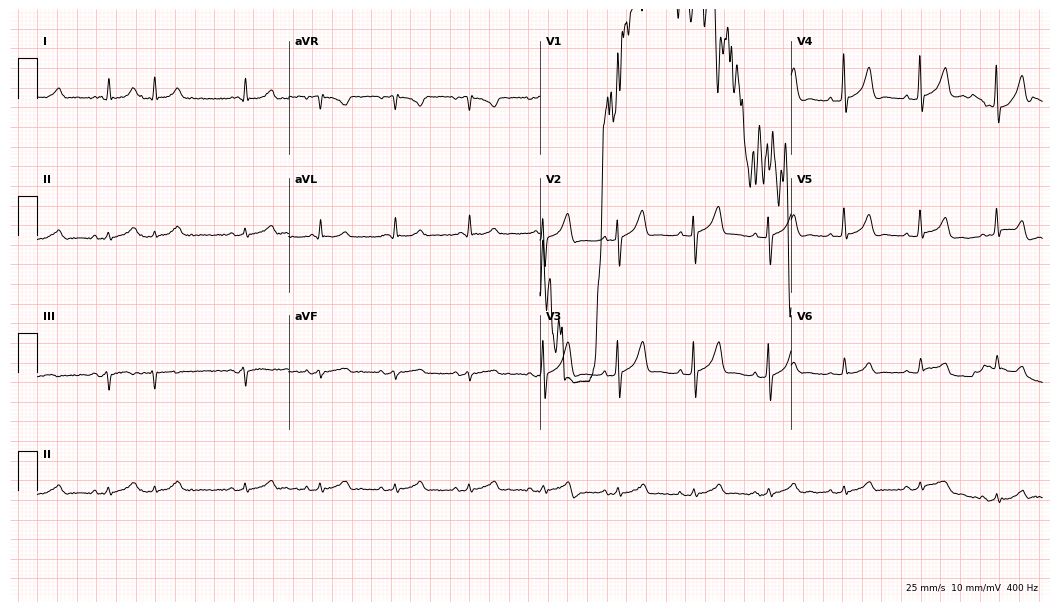
12-lead ECG from an 82-year-old female patient (10.2-second recording at 400 Hz). No first-degree AV block, right bundle branch block, left bundle branch block, sinus bradycardia, atrial fibrillation or sinus tachycardia recorded for this tracing.